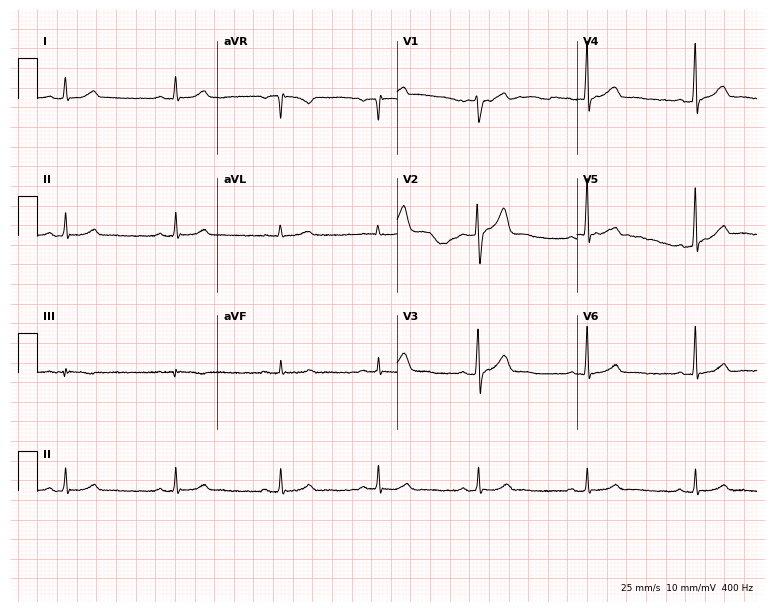
ECG (7.3-second recording at 400 Hz) — a 43-year-old male. Labelled as a normal ECG.